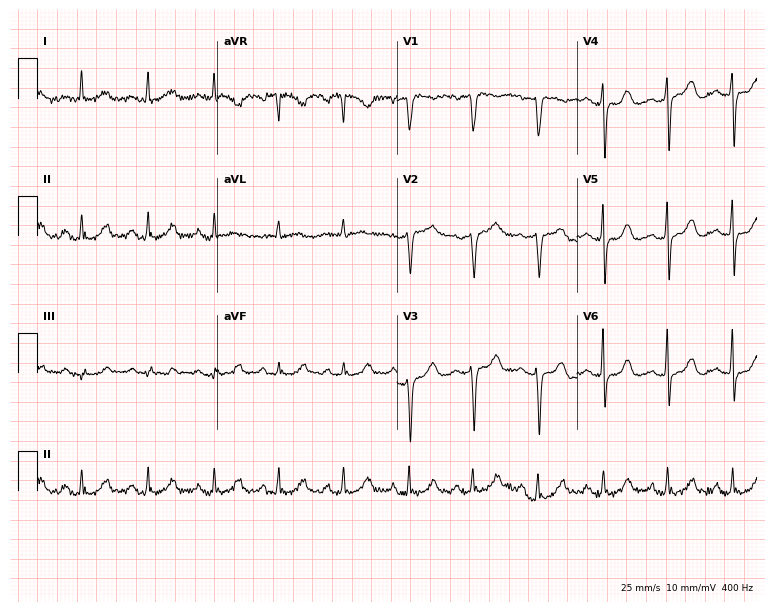
12-lead ECG from a female patient, 64 years old (7.3-second recording at 400 Hz). No first-degree AV block, right bundle branch block, left bundle branch block, sinus bradycardia, atrial fibrillation or sinus tachycardia recorded for this tracing.